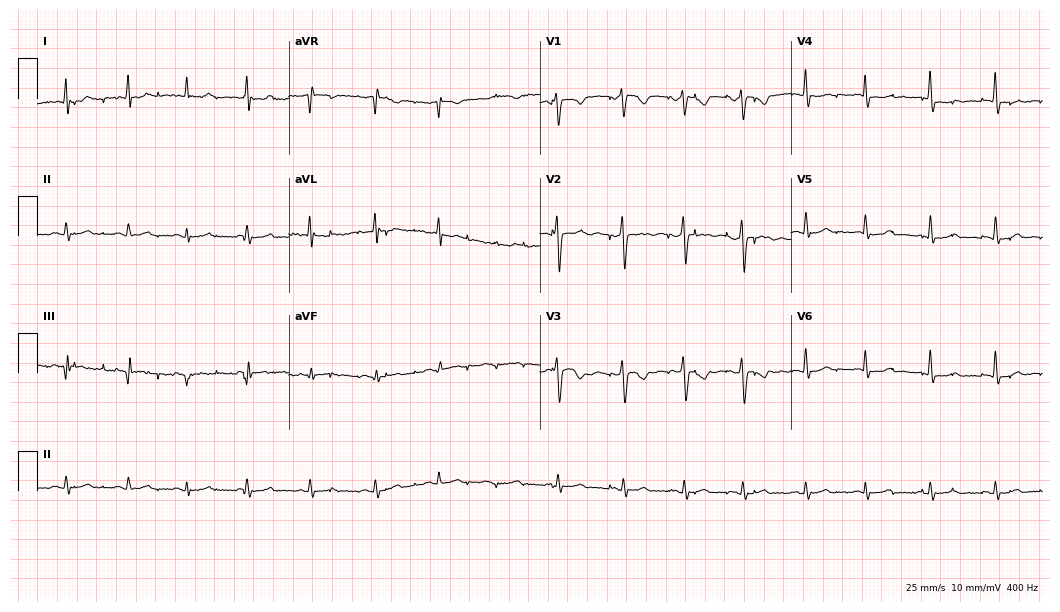
12-lead ECG from a 30-year-old female patient. No first-degree AV block, right bundle branch block, left bundle branch block, sinus bradycardia, atrial fibrillation or sinus tachycardia recorded for this tracing. Other findings, if any, are not listed.